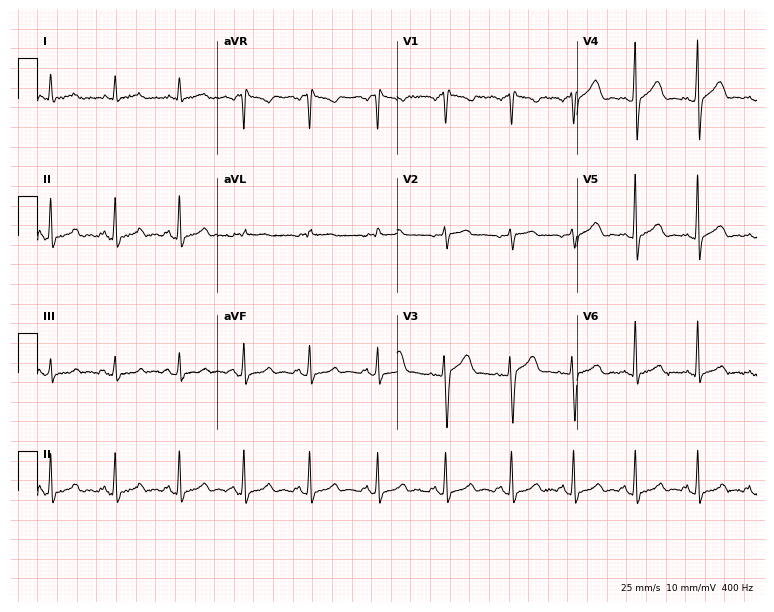
Electrocardiogram, a man, 38 years old. Overall reading on record: normal ECG.